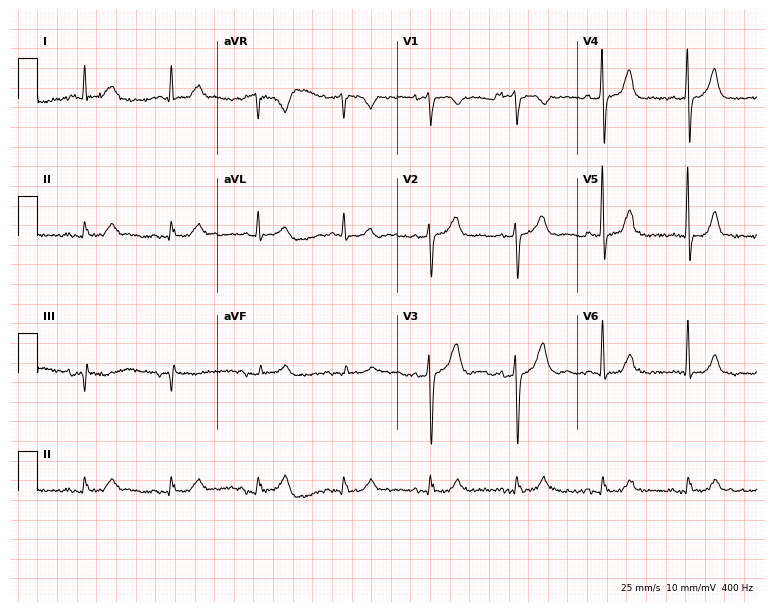
Standard 12-lead ECG recorded from a 58-year-old male (7.3-second recording at 400 Hz). None of these six findings is recorded: first-degree AV block, right bundle branch block, left bundle branch block, sinus bradycardia, atrial fibrillation, sinus tachycardia.